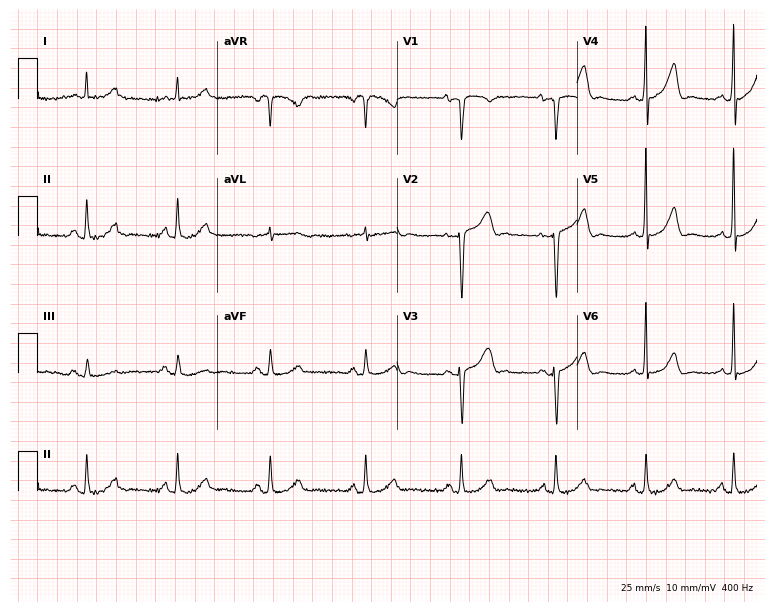
Resting 12-lead electrocardiogram (7.3-second recording at 400 Hz). Patient: a female, 68 years old. Read as a normal ECG.